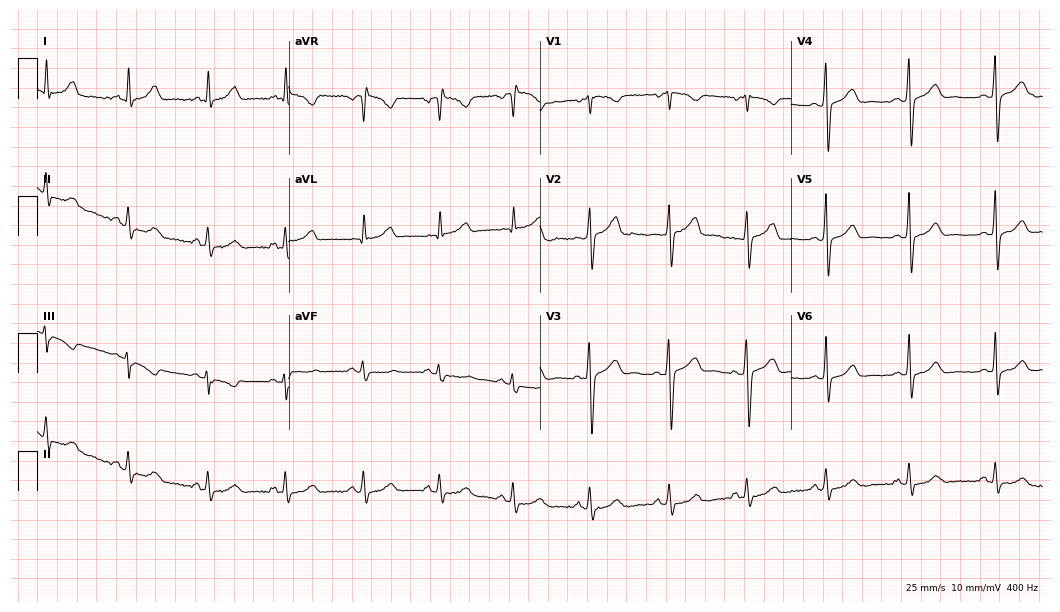
12-lead ECG from a 43-year-old female. Recorded interpretation: within normal limits.